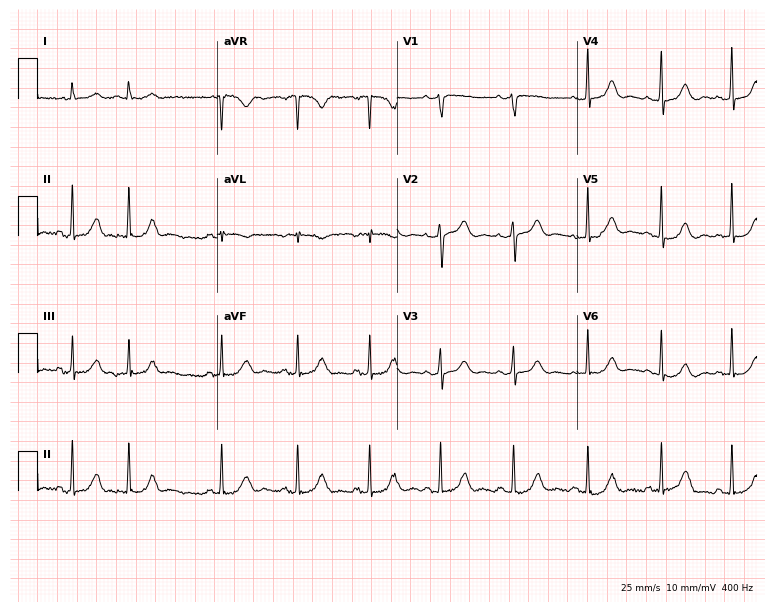
12-lead ECG from a woman, 79 years old (7.3-second recording at 400 Hz). No first-degree AV block, right bundle branch block, left bundle branch block, sinus bradycardia, atrial fibrillation or sinus tachycardia recorded for this tracing. Only these six findings were labelled.